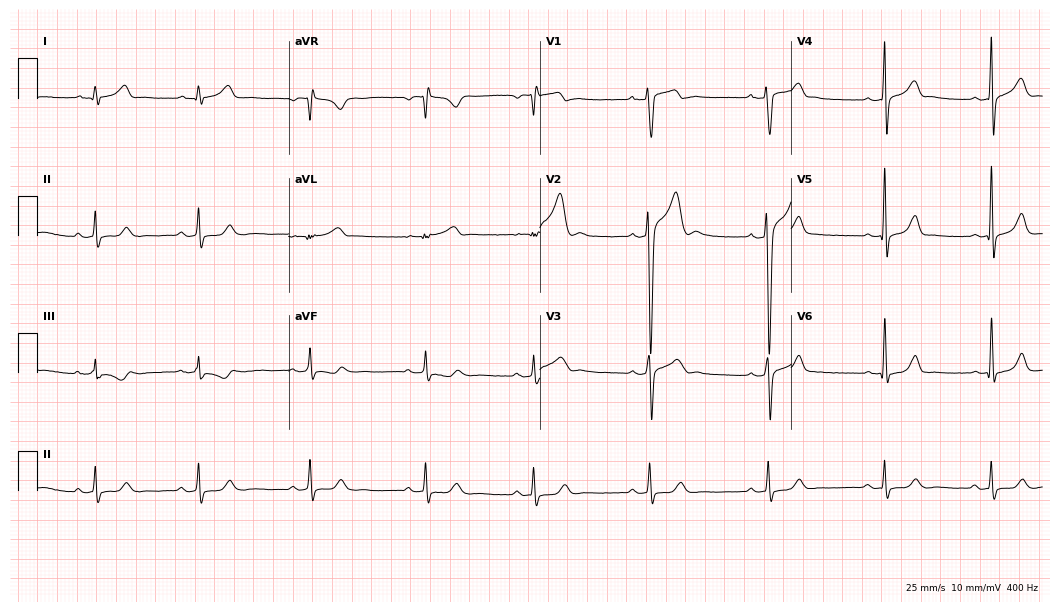
ECG — a 24-year-old male patient. Labelled as a normal ECG.